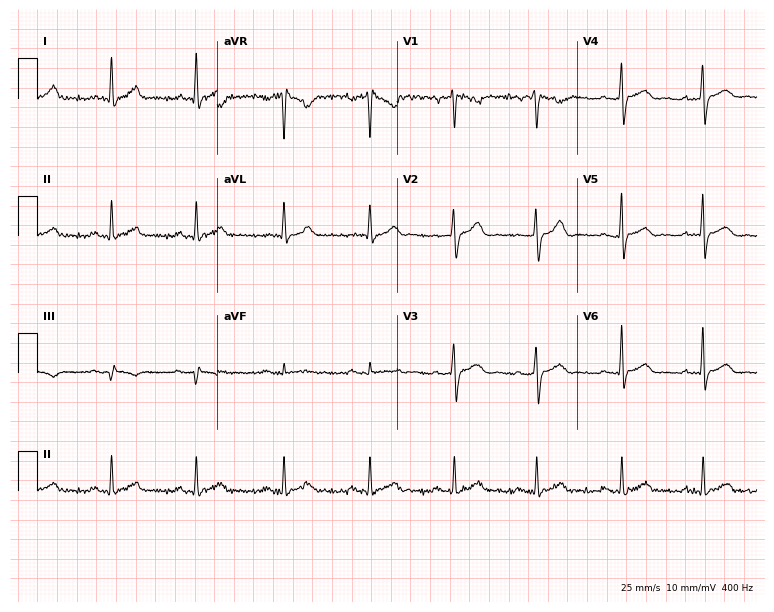
12-lead ECG from a man, 45 years old. Recorded interpretation: within normal limits.